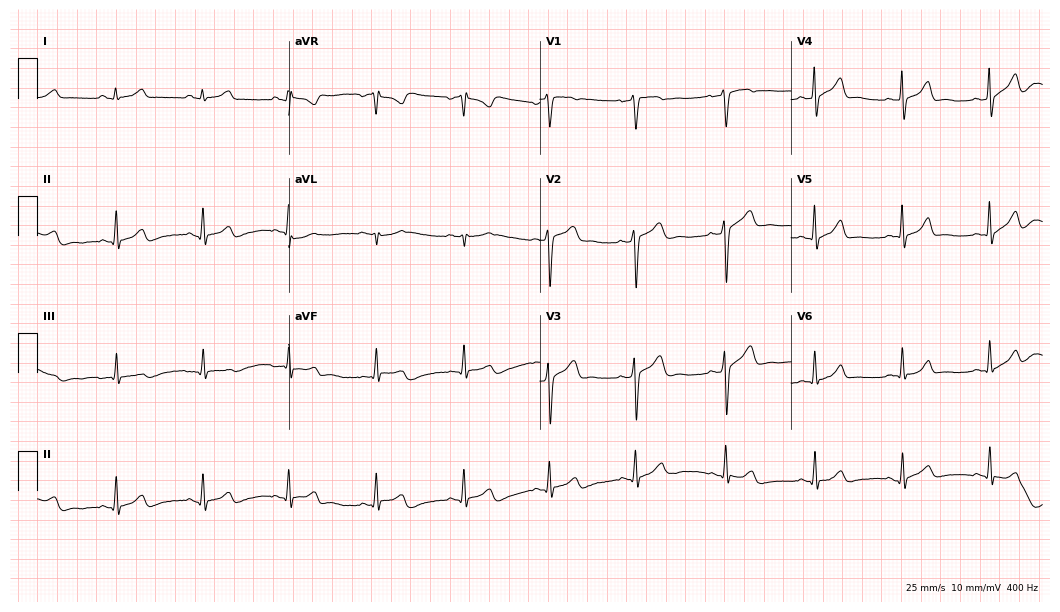
12-lead ECG from a 44-year-old male (10.2-second recording at 400 Hz). Recorded interpretation: within normal limits.